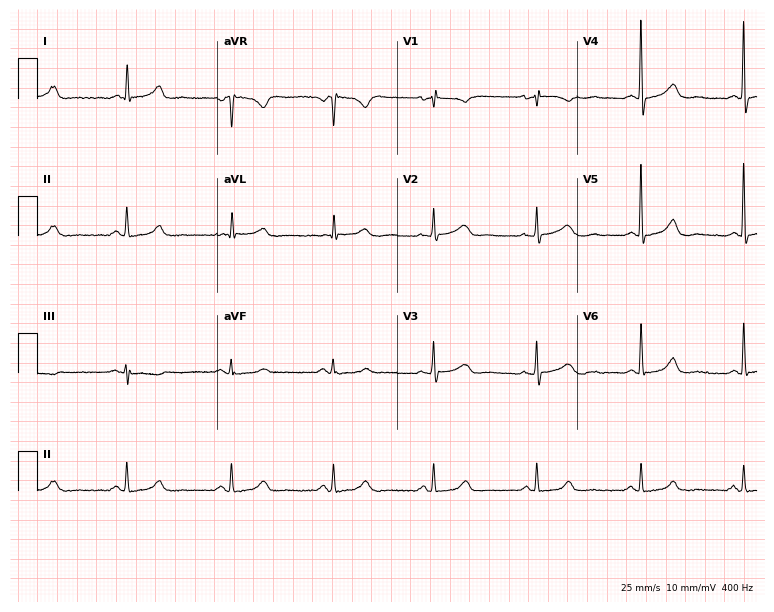
Electrocardiogram, a female patient, 76 years old. Of the six screened findings (first-degree AV block, right bundle branch block (RBBB), left bundle branch block (LBBB), sinus bradycardia, atrial fibrillation (AF), sinus tachycardia), none is recorded.